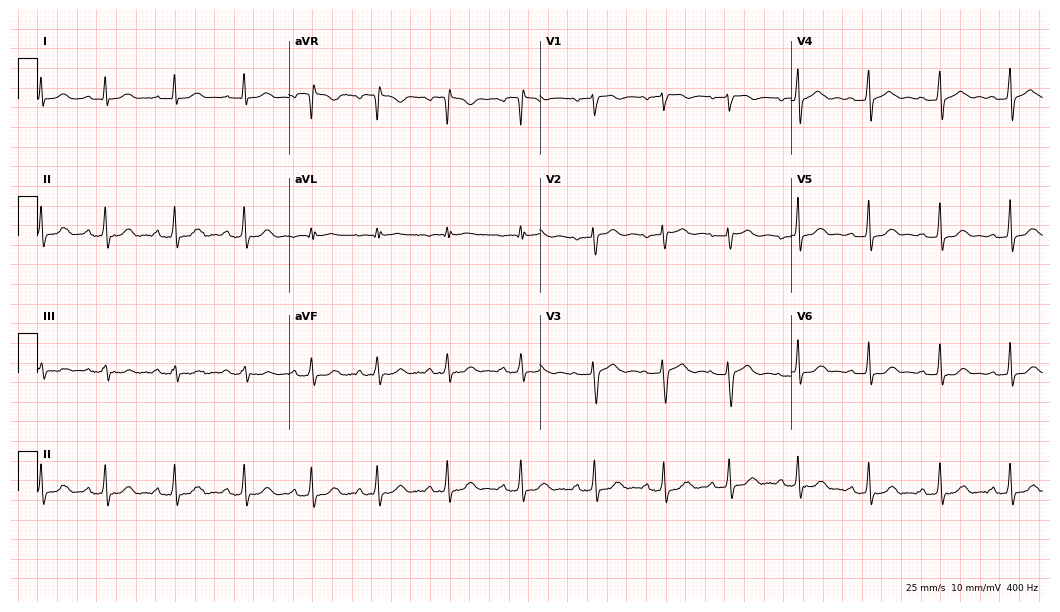
ECG (10.2-second recording at 400 Hz) — a 29-year-old female. Labelled as a normal ECG.